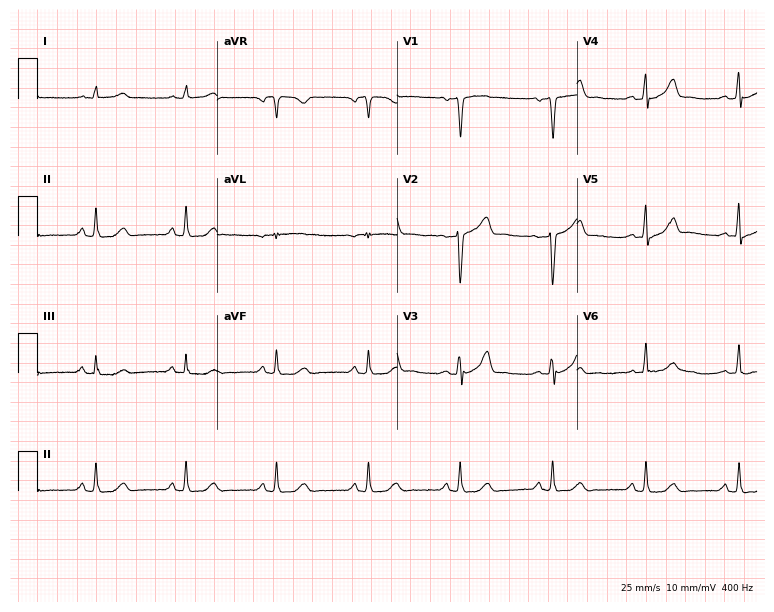
Standard 12-lead ECG recorded from a male, 64 years old. Read as a normal ECG.